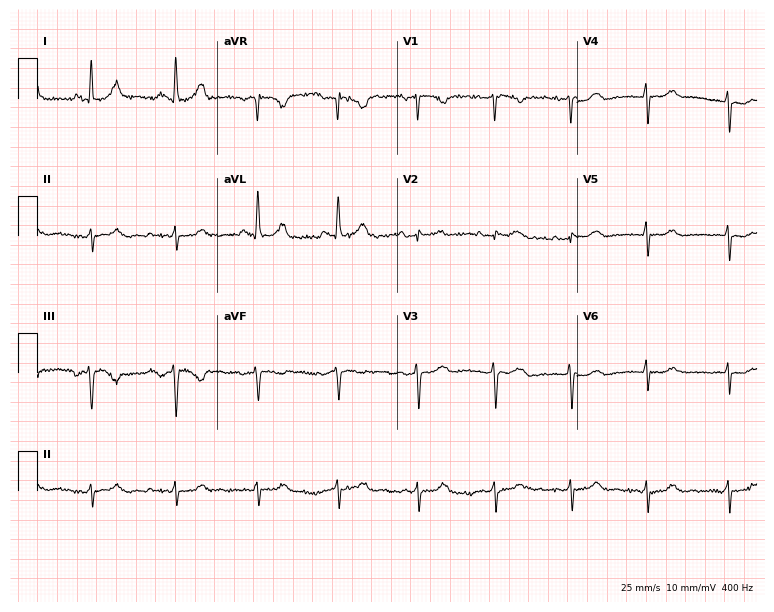
12-lead ECG from a female, 61 years old. No first-degree AV block, right bundle branch block (RBBB), left bundle branch block (LBBB), sinus bradycardia, atrial fibrillation (AF) or sinus tachycardia recorded for this tracing.